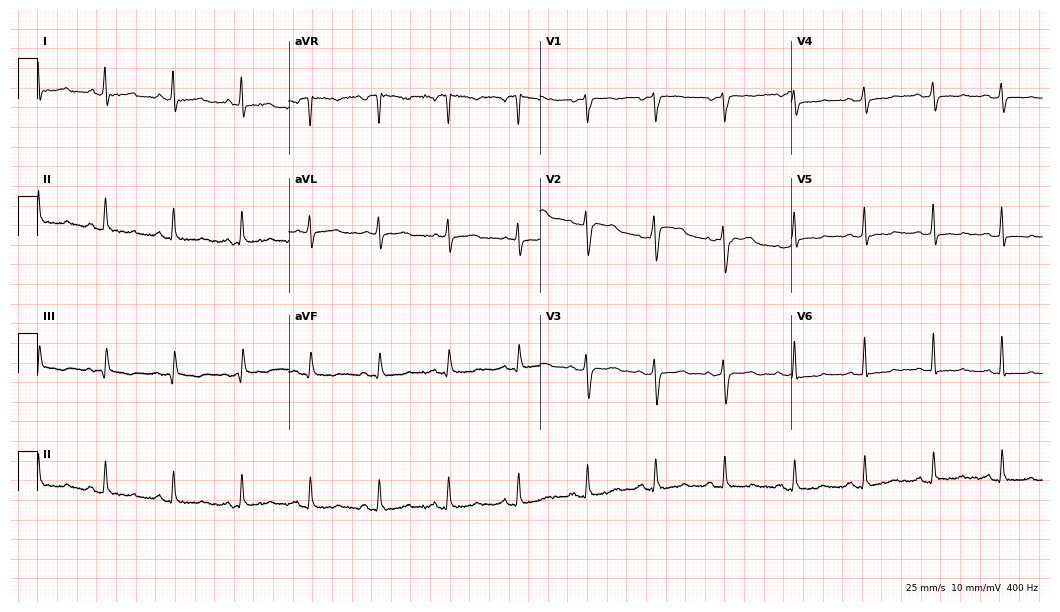
12-lead ECG from a 68-year-old man. No first-degree AV block, right bundle branch block, left bundle branch block, sinus bradycardia, atrial fibrillation or sinus tachycardia recorded for this tracing.